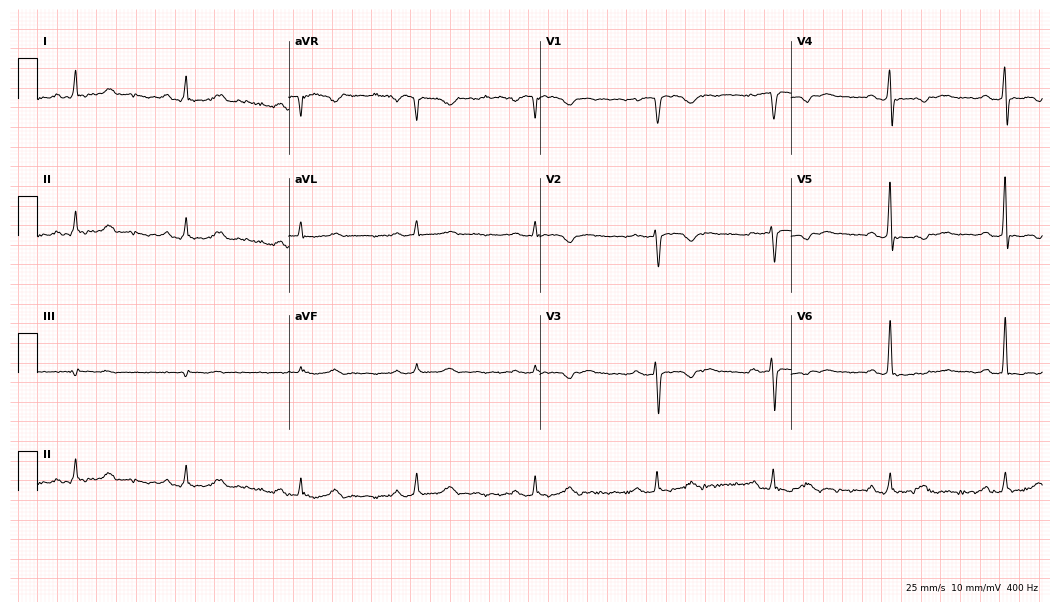
Resting 12-lead electrocardiogram. Patient: a woman, 70 years old. None of these six findings is recorded: first-degree AV block, right bundle branch block, left bundle branch block, sinus bradycardia, atrial fibrillation, sinus tachycardia.